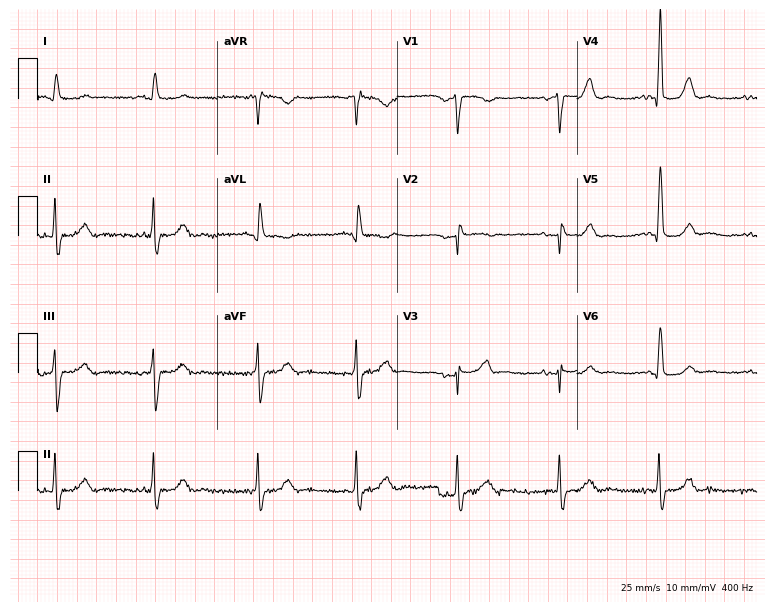
Electrocardiogram, a man, 87 years old. Of the six screened findings (first-degree AV block, right bundle branch block (RBBB), left bundle branch block (LBBB), sinus bradycardia, atrial fibrillation (AF), sinus tachycardia), none is recorded. Other findings, if any, are not listed.